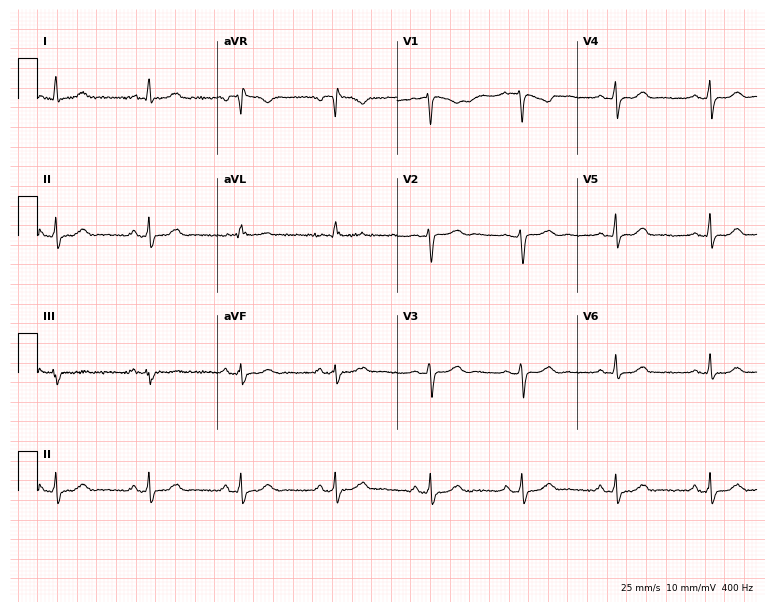
12-lead ECG from a female, 53 years old. No first-degree AV block, right bundle branch block (RBBB), left bundle branch block (LBBB), sinus bradycardia, atrial fibrillation (AF) or sinus tachycardia recorded for this tracing. Only these six findings were labelled.